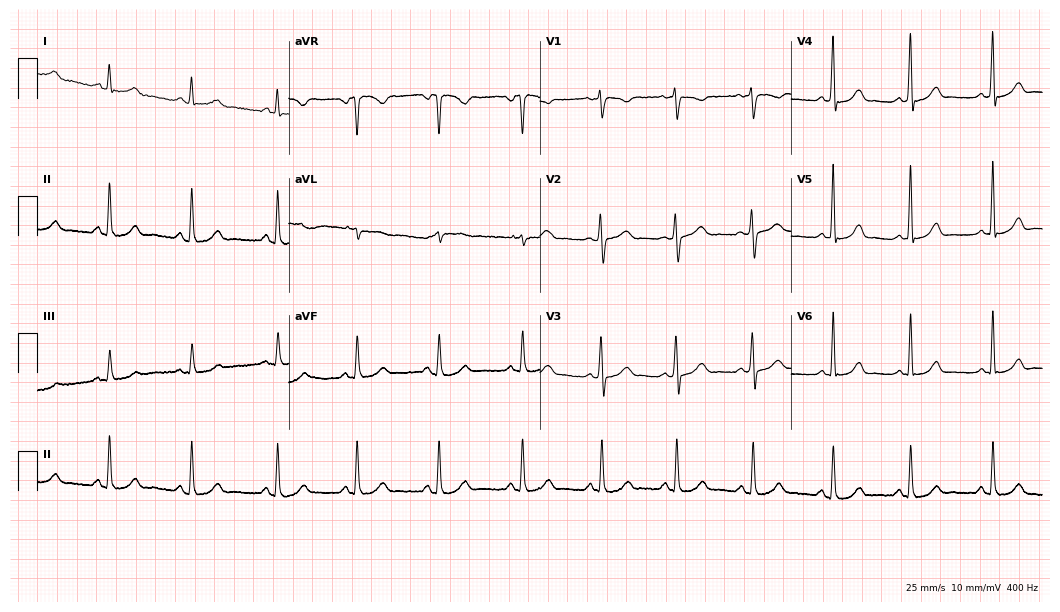
12-lead ECG from a 33-year-old woman. Labelled as a normal ECG.